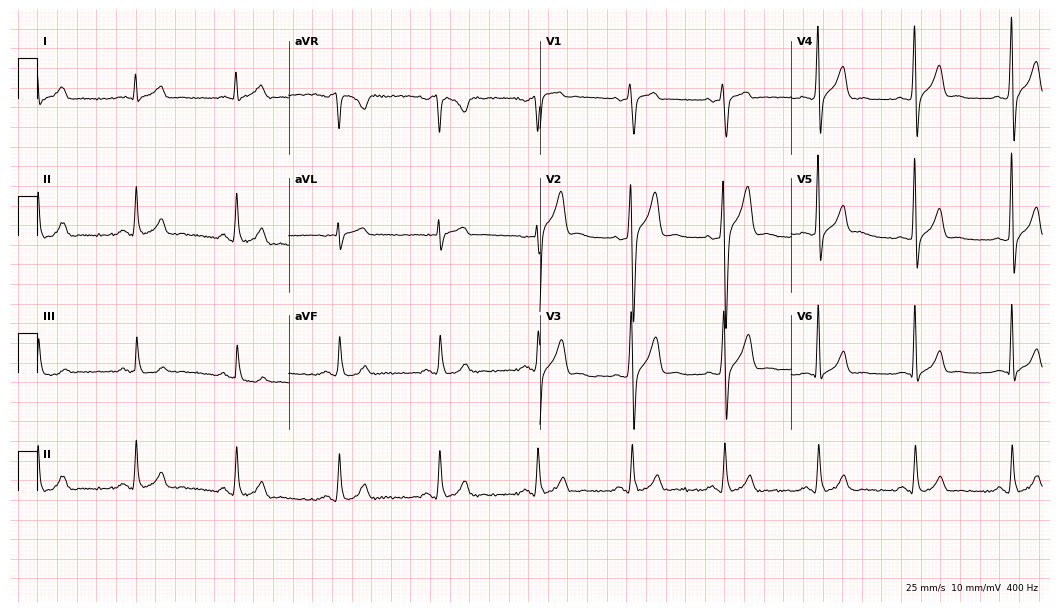
ECG — a male, 42 years old. Screened for six findings — first-degree AV block, right bundle branch block (RBBB), left bundle branch block (LBBB), sinus bradycardia, atrial fibrillation (AF), sinus tachycardia — none is recorded. Other findings, if any, are not listed.